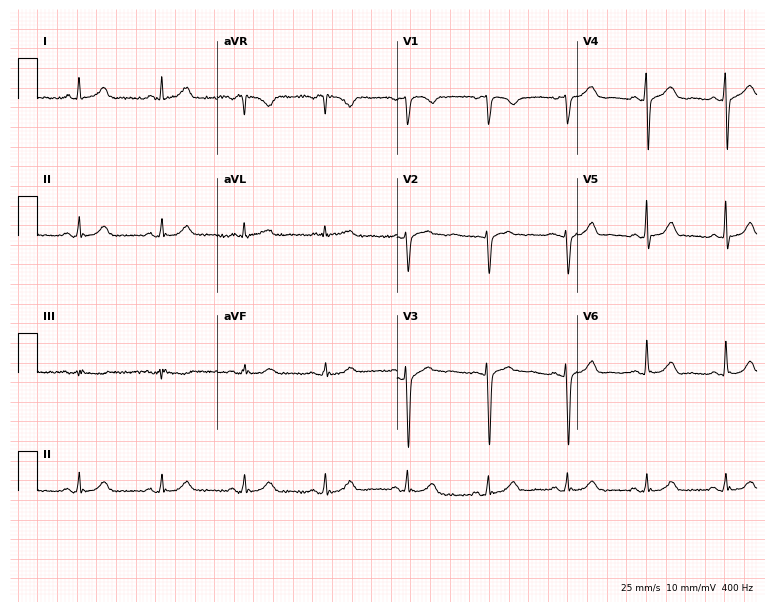
12-lead ECG from a female patient, 49 years old (7.3-second recording at 400 Hz). Recorded interpretation: within normal limits.